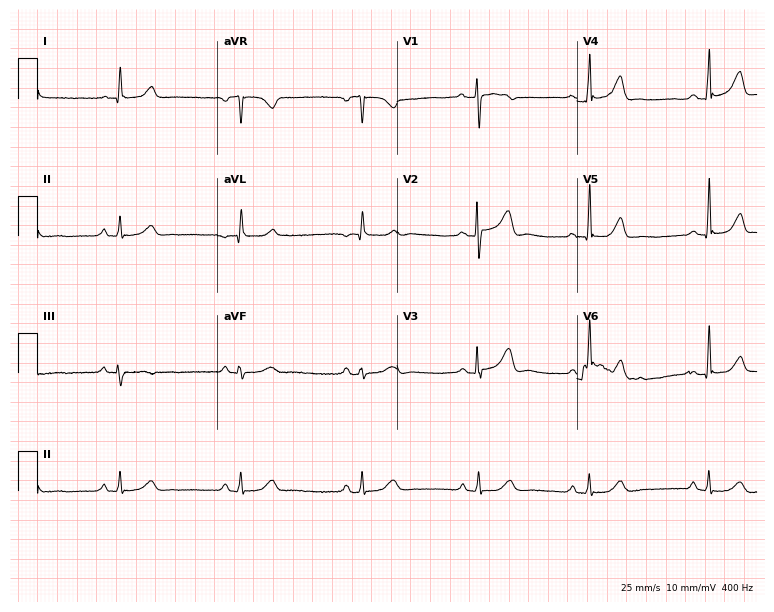
Electrocardiogram, a female, 64 years old. Interpretation includes sinus bradycardia (a sinus rate of 50 beats per minute or less).